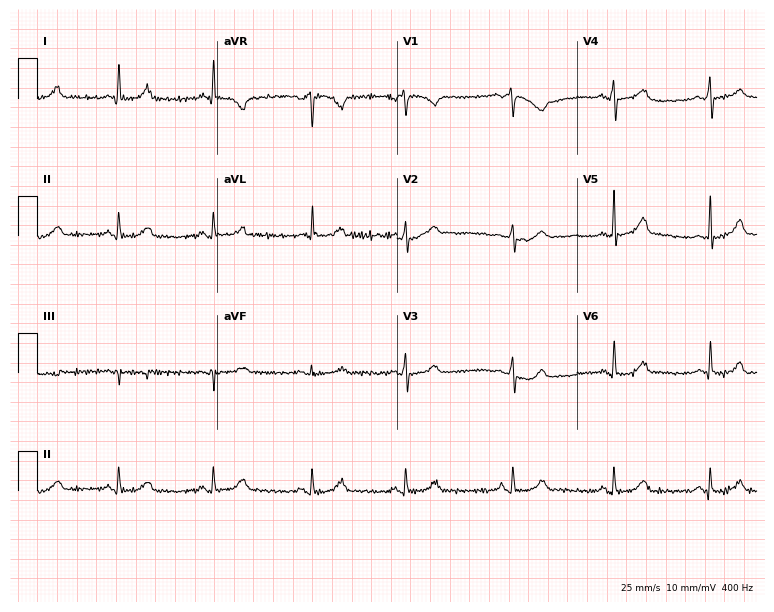
Electrocardiogram (7.3-second recording at 400 Hz), a woman, 51 years old. Overall reading on record: normal ECG.